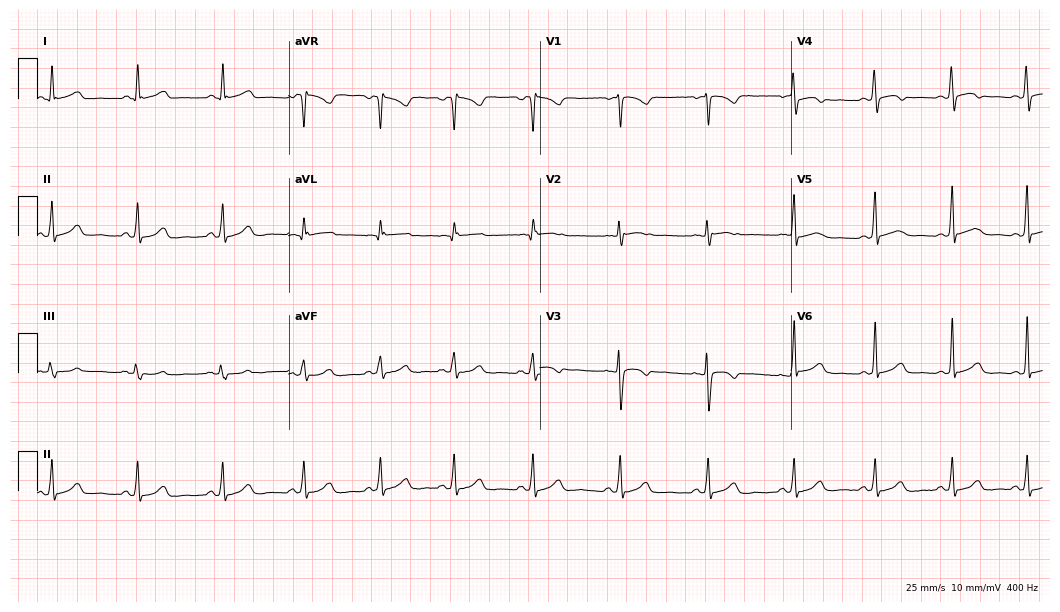
ECG (10.2-second recording at 400 Hz) — a 34-year-old female. Labelled as a normal ECG.